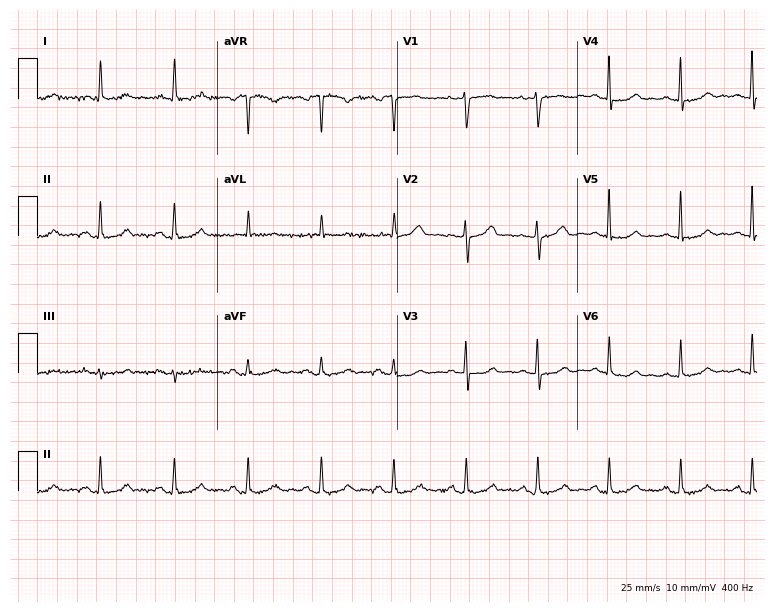
Standard 12-lead ECG recorded from a woman, 72 years old. Read as a normal ECG.